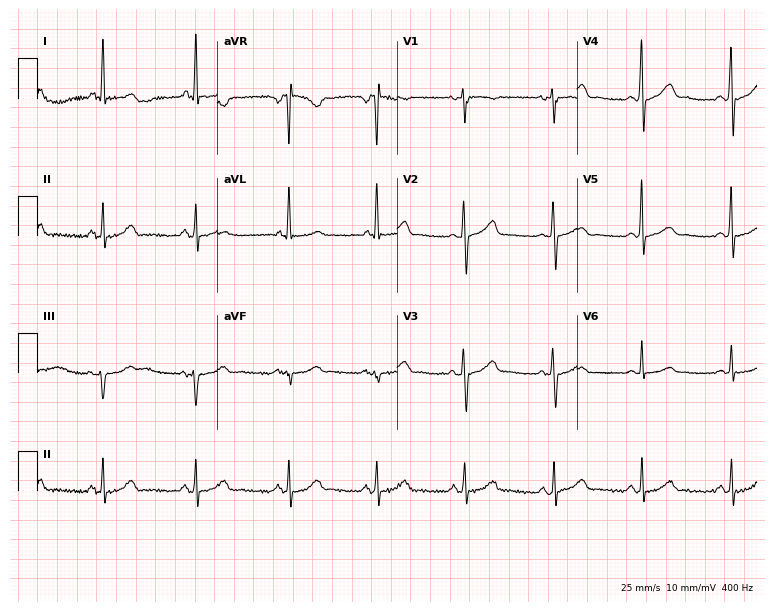
ECG — a 61-year-old female. Labelled as a normal ECG.